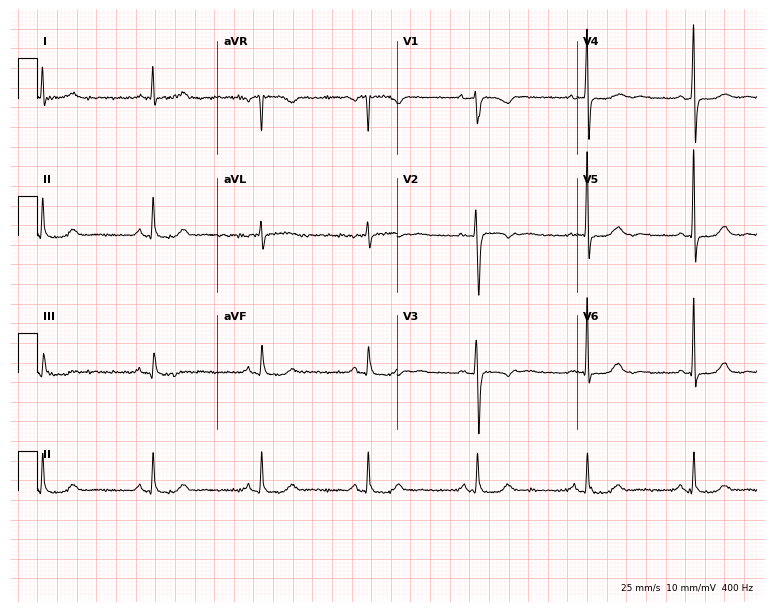
12-lead ECG from a female, 59 years old. Labelled as a normal ECG.